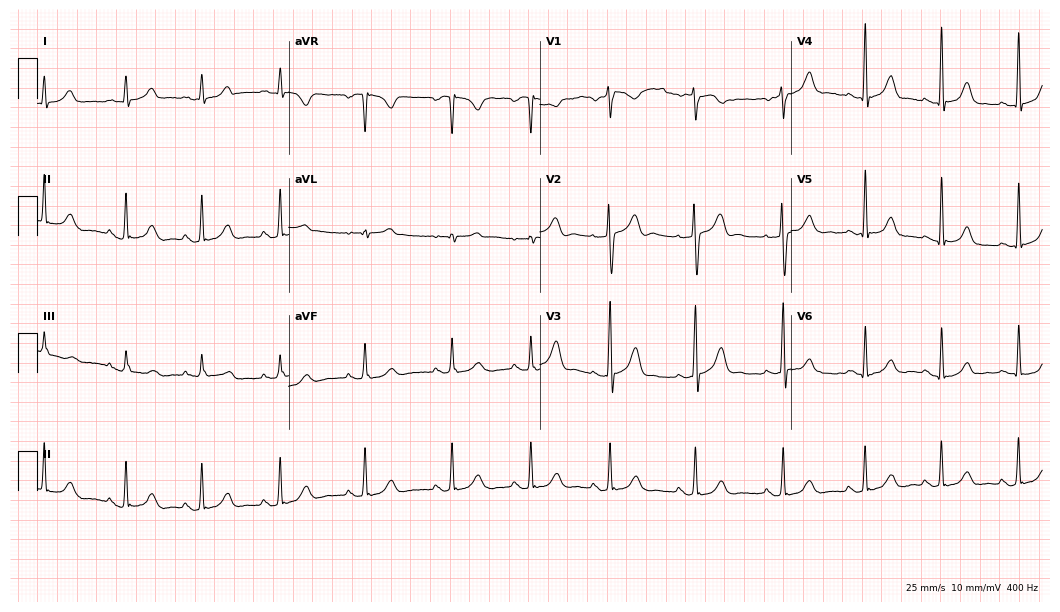
ECG (10.2-second recording at 400 Hz) — a 28-year-old woman. Labelled as a normal ECG.